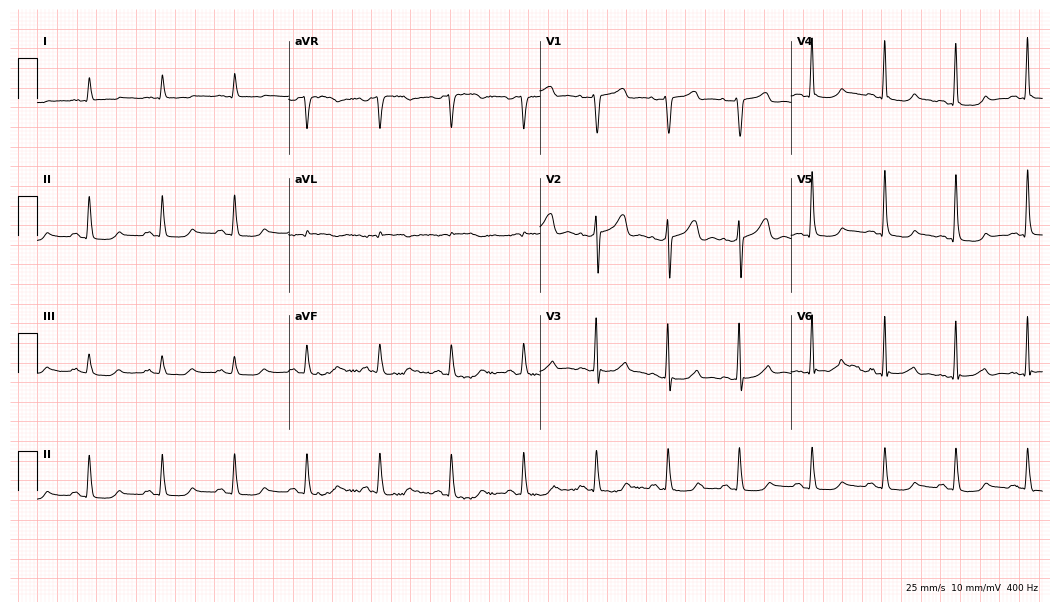
ECG (10.2-second recording at 400 Hz) — a 64-year-old female. Screened for six findings — first-degree AV block, right bundle branch block (RBBB), left bundle branch block (LBBB), sinus bradycardia, atrial fibrillation (AF), sinus tachycardia — none is recorded. Findings outside these six are not listed.